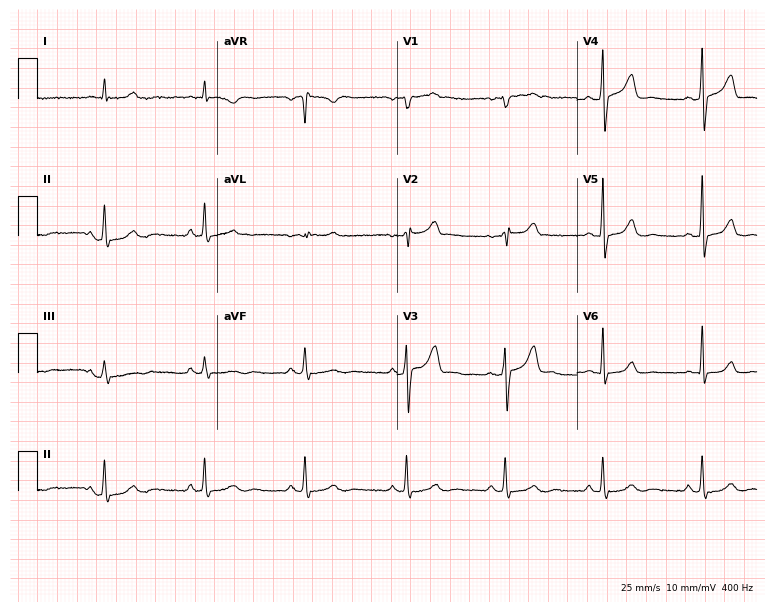
Resting 12-lead electrocardiogram (7.3-second recording at 400 Hz). Patient: a 44-year-old male. None of these six findings is recorded: first-degree AV block, right bundle branch block, left bundle branch block, sinus bradycardia, atrial fibrillation, sinus tachycardia.